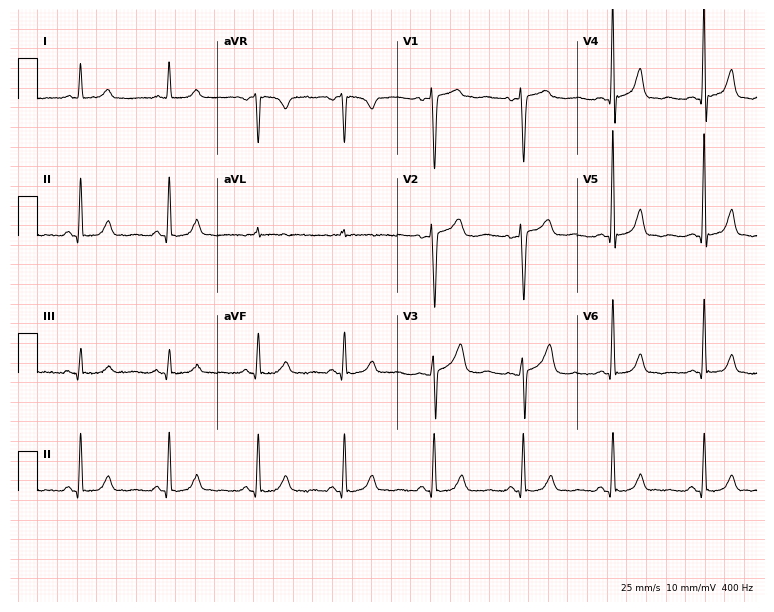
12-lead ECG (7.3-second recording at 400 Hz) from a 52-year-old female patient. Labelled as a normal ECG.